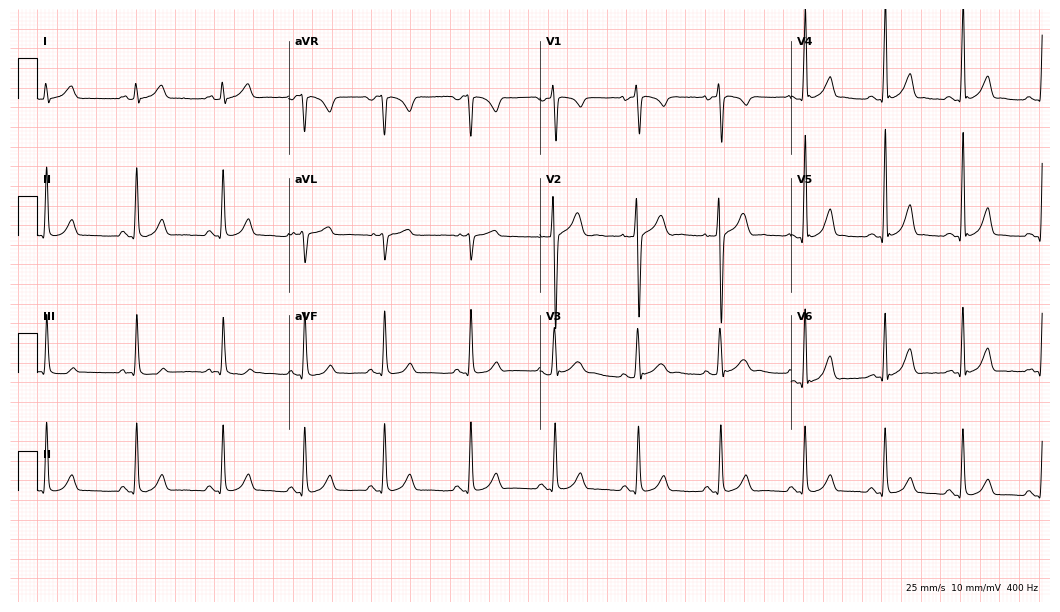
ECG (10.2-second recording at 400 Hz) — an 18-year-old male patient. Labelled as a normal ECG.